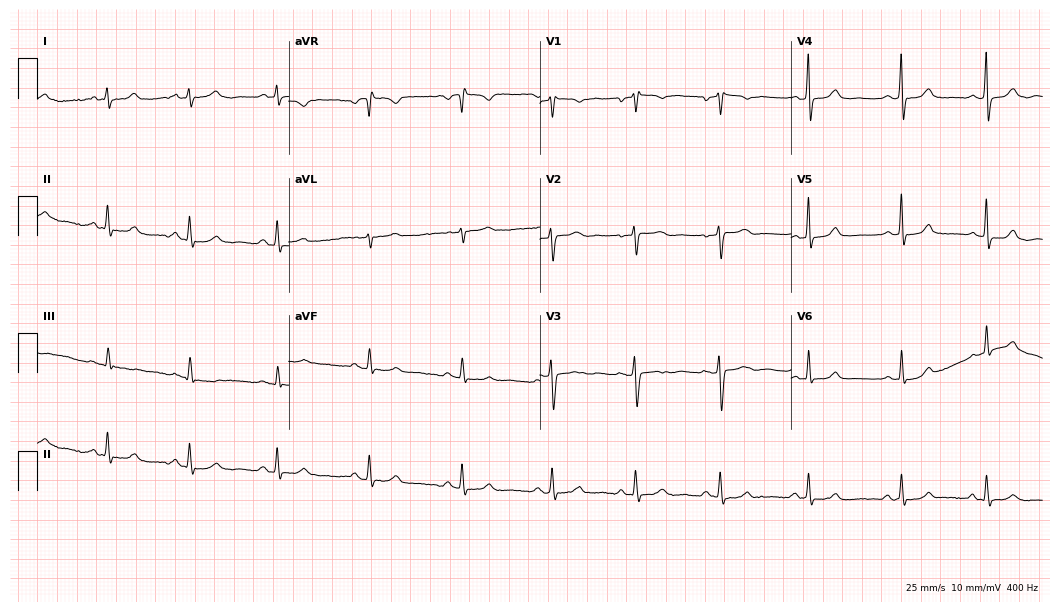
Standard 12-lead ECG recorded from a 48-year-old woman (10.2-second recording at 400 Hz). None of these six findings is recorded: first-degree AV block, right bundle branch block (RBBB), left bundle branch block (LBBB), sinus bradycardia, atrial fibrillation (AF), sinus tachycardia.